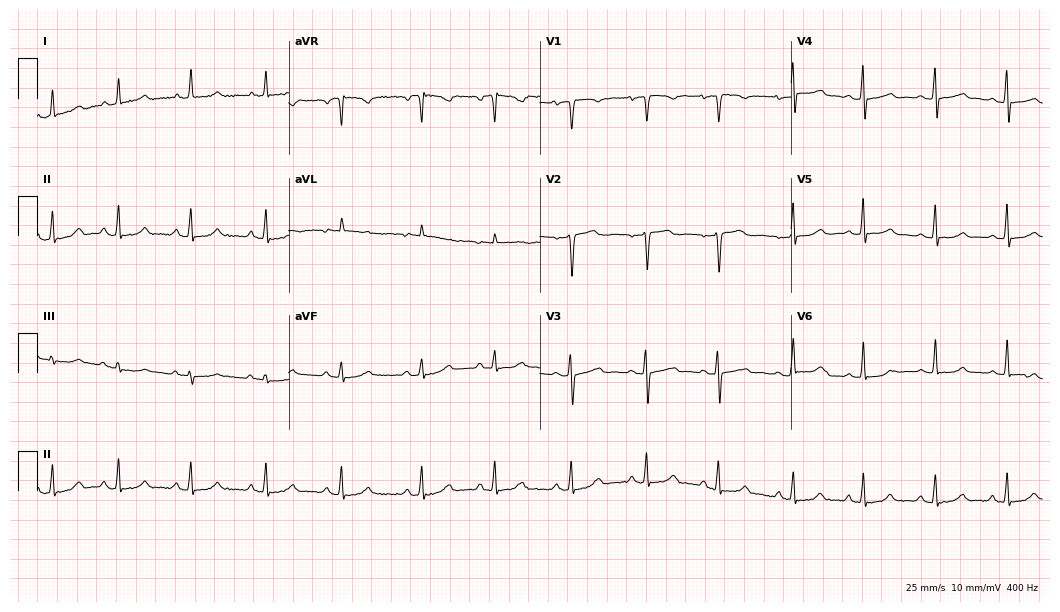
Resting 12-lead electrocardiogram. Patient: a female, 35 years old. None of these six findings is recorded: first-degree AV block, right bundle branch block (RBBB), left bundle branch block (LBBB), sinus bradycardia, atrial fibrillation (AF), sinus tachycardia.